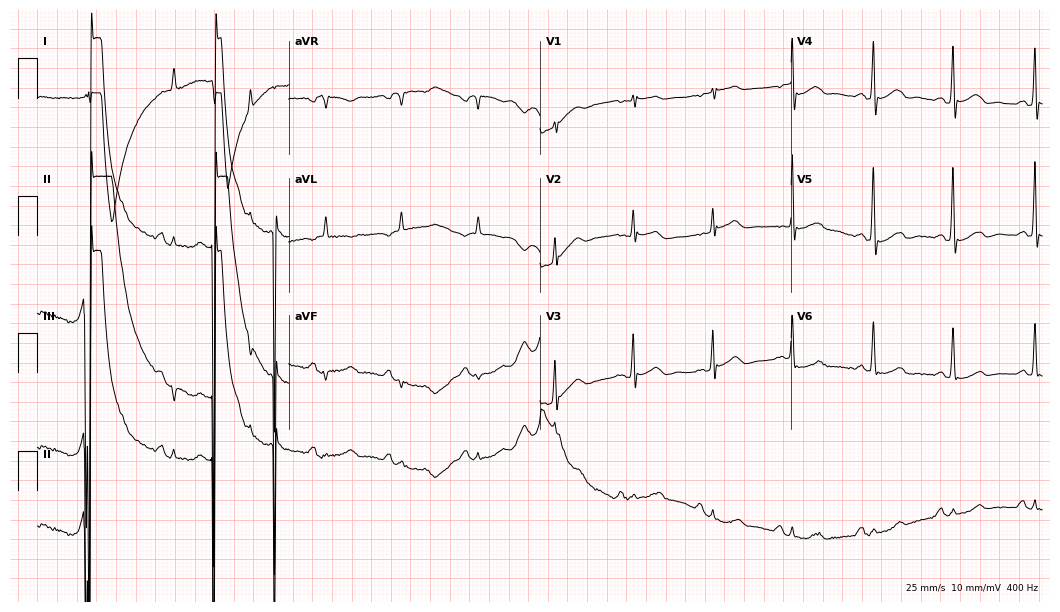
ECG (10.2-second recording at 400 Hz) — a male, 84 years old. Screened for six findings — first-degree AV block, right bundle branch block (RBBB), left bundle branch block (LBBB), sinus bradycardia, atrial fibrillation (AF), sinus tachycardia — none is recorded. Findings outside these six are not listed.